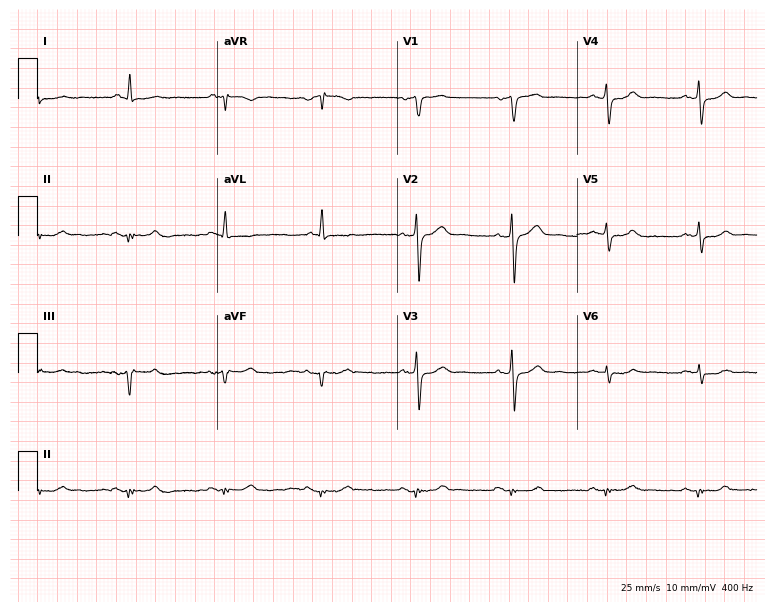
12-lead ECG from a 65-year-old male patient (7.3-second recording at 400 Hz). No first-degree AV block, right bundle branch block (RBBB), left bundle branch block (LBBB), sinus bradycardia, atrial fibrillation (AF) or sinus tachycardia recorded for this tracing.